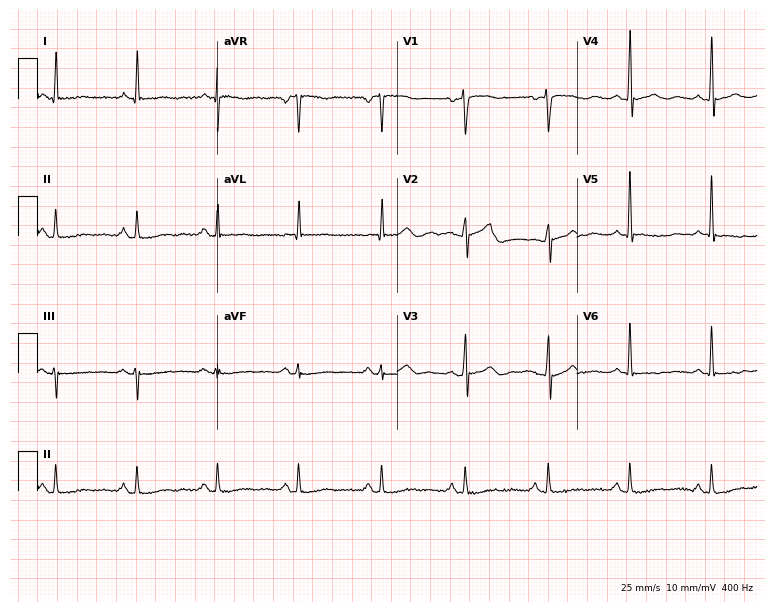
12-lead ECG from a woman, 51 years old. Recorded interpretation: within normal limits.